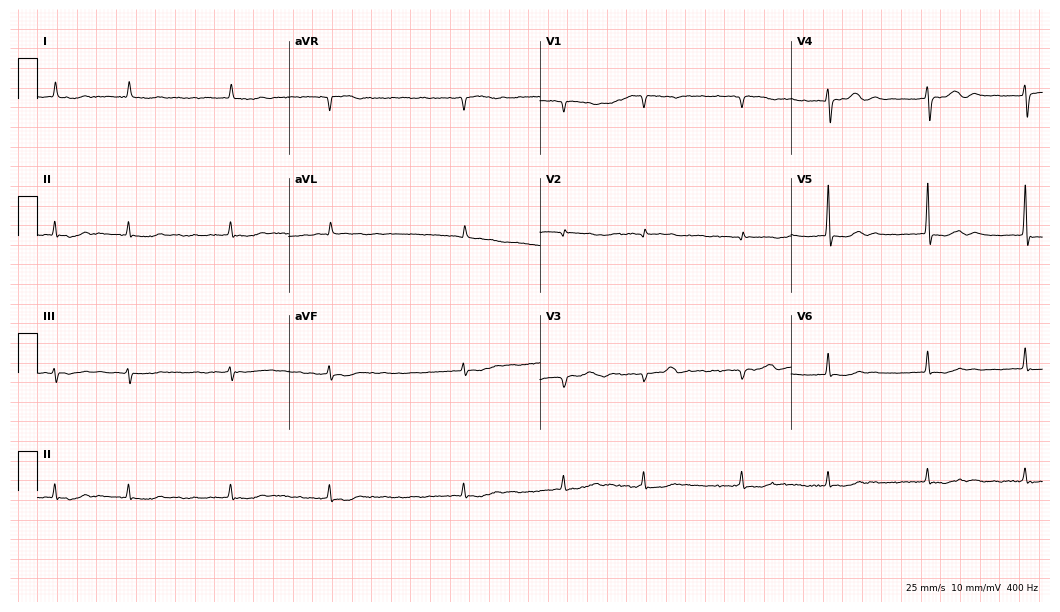
Resting 12-lead electrocardiogram. Patient: an 82-year-old female. The tracing shows atrial fibrillation.